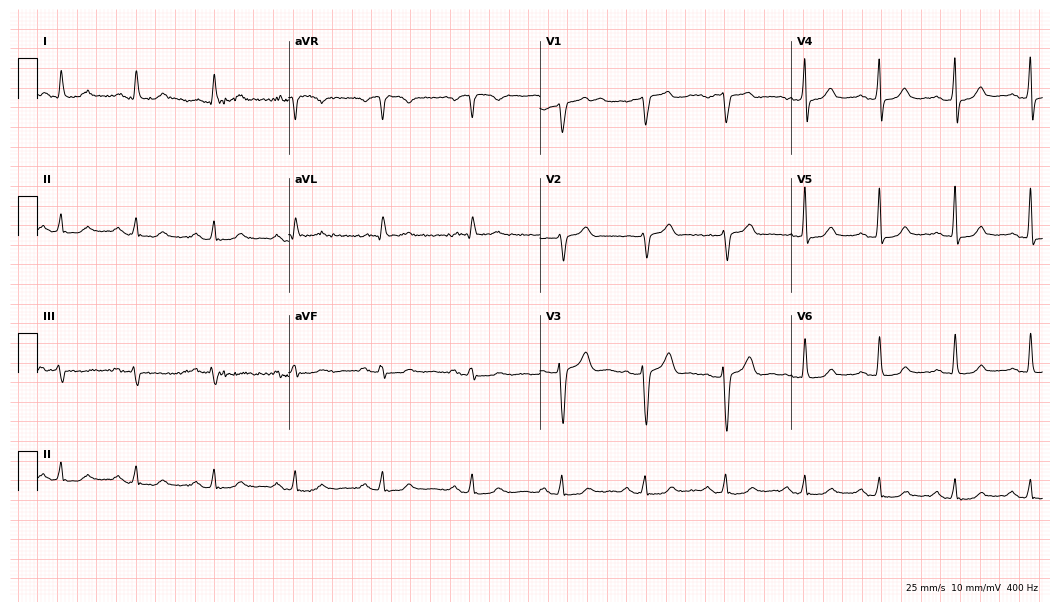
Standard 12-lead ECG recorded from a 67-year-old man. None of these six findings is recorded: first-degree AV block, right bundle branch block (RBBB), left bundle branch block (LBBB), sinus bradycardia, atrial fibrillation (AF), sinus tachycardia.